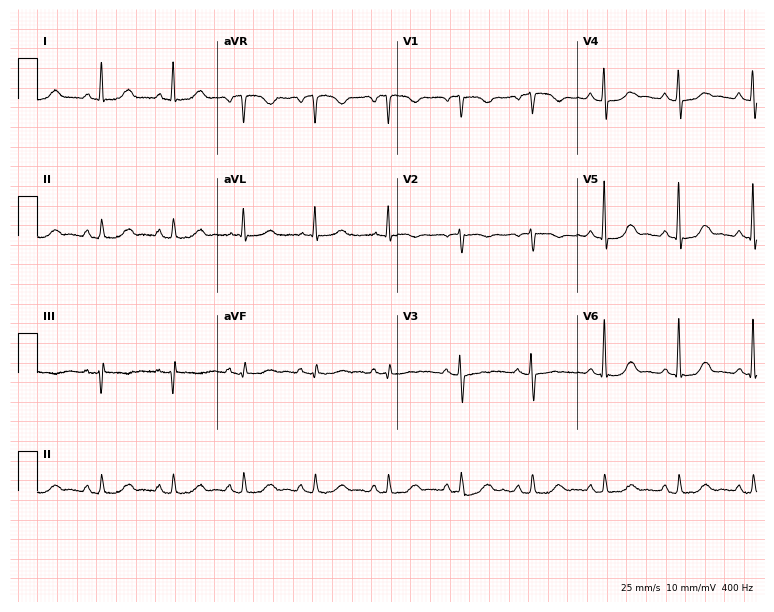
Electrocardiogram, a female, 64 years old. Overall reading on record: normal ECG.